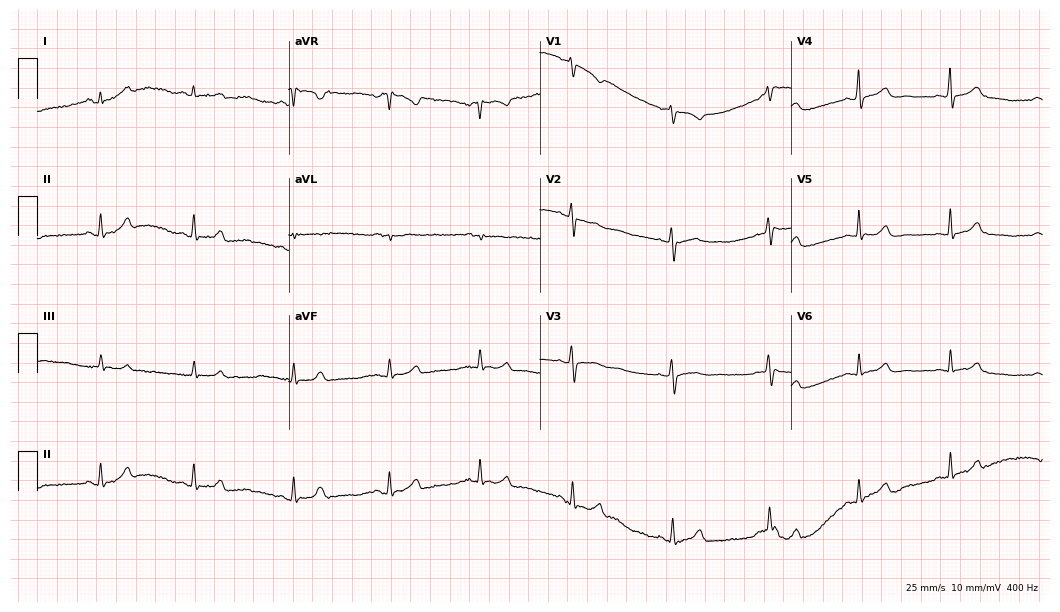
12-lead ECG from a female patient, 18 years old (10.2-second recording at 400 Hz). No first-degree AV block, right bundle branch block, left bundle branch block, sinus bradycardia, atrial fibrillation or sinus tachycardia recorded for this tracing. Only these six findings were labelled.